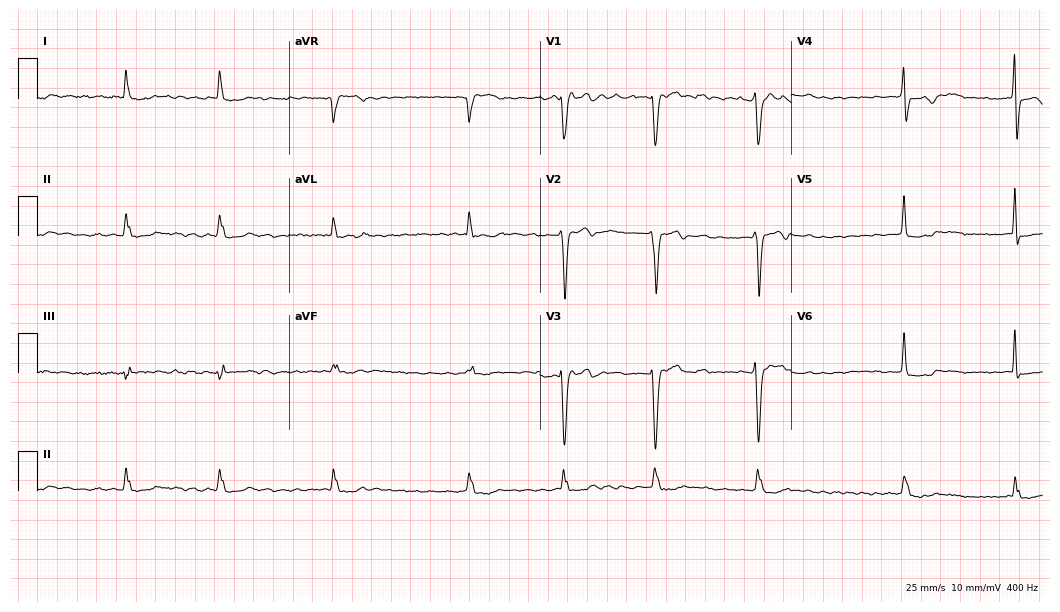
Electrocardiogram, a female patient, 75 years old. Interpretation includes atrial fibrillation.